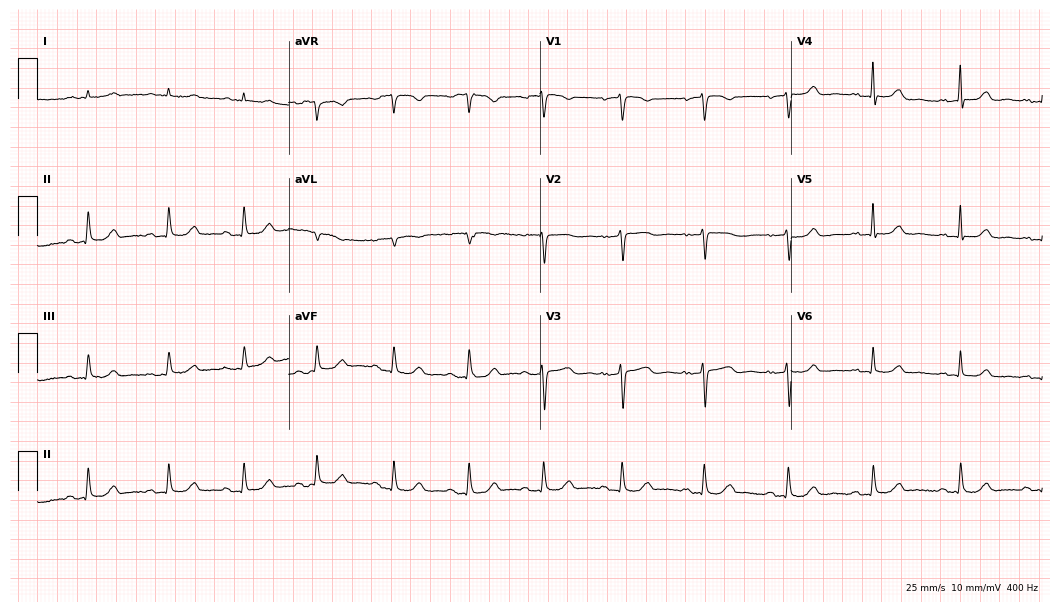
Electrocardiogram, a woman, 74 years old. Overall reading on record: normal ECG.